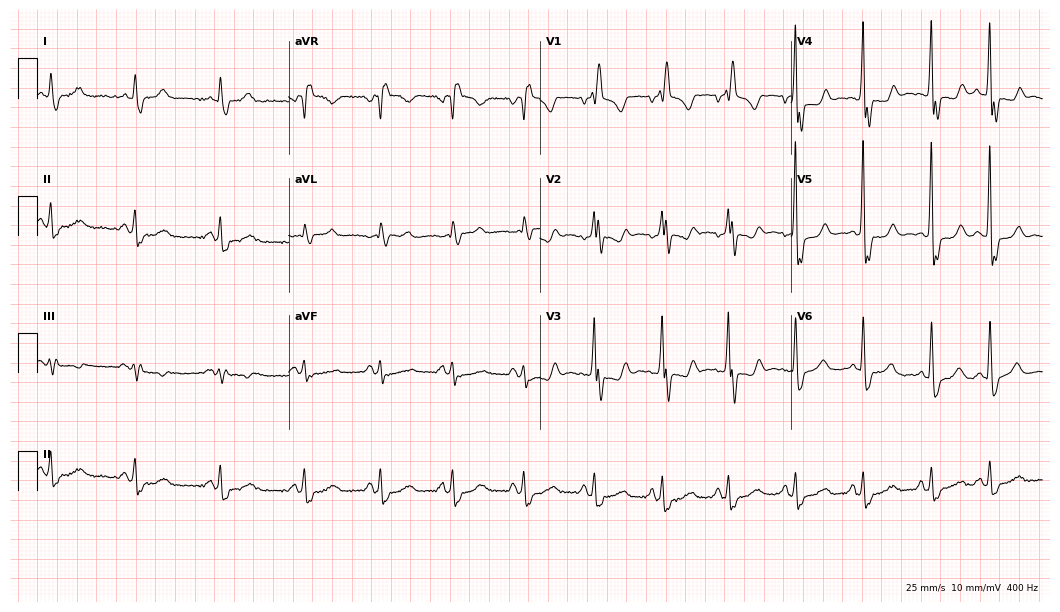
12-lead ECG from a 74-year-old male (10.2-second recording at 400 Hz). Shows right bundle branch block.